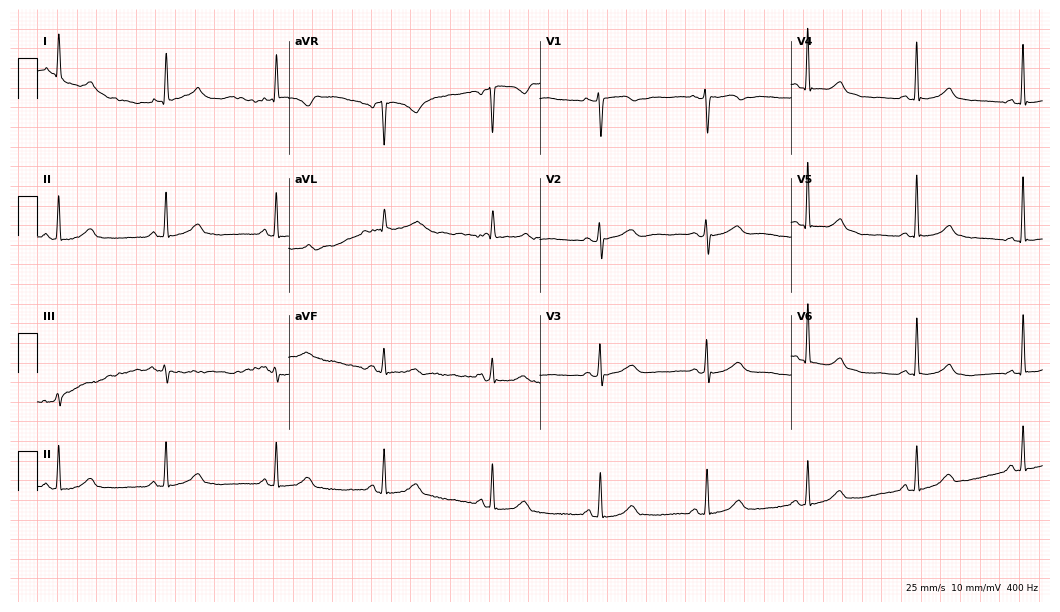
12-lead ECG (10.2-second recording at 400 Hz) from a woman, 80 years old. Labelled as a normal ECG.